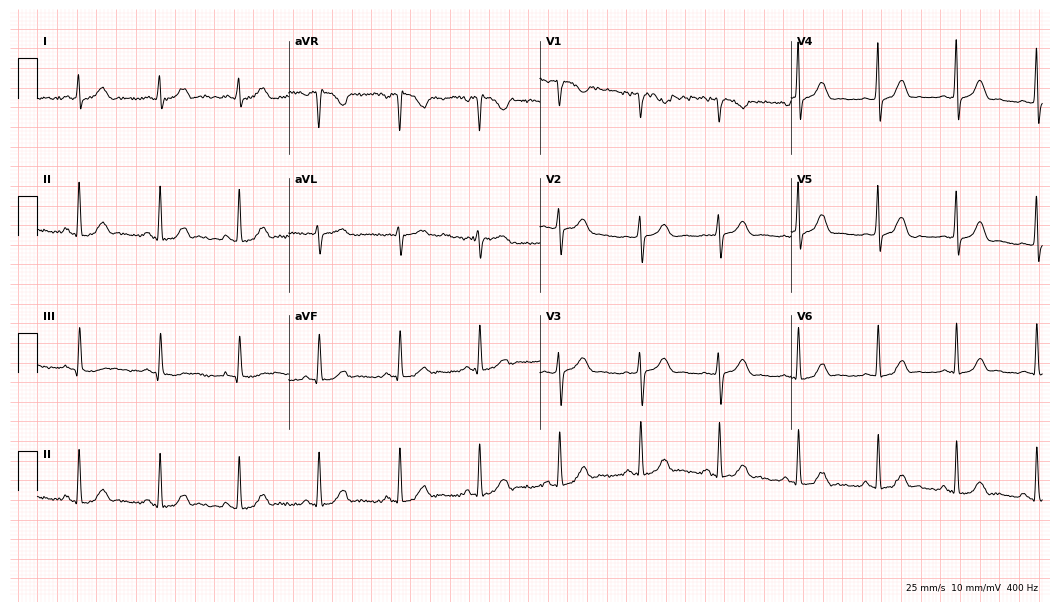
ECG (10.2-second recording at 400 Hz) — a 29-year-old woman. Screened for six findings — first-degree AV block, right bundle branch block (RBBB), left bundle branch block (LBBB), sinus bradycardia, atrial fibrillation (AF), sinus tachycardia — none is recorded.